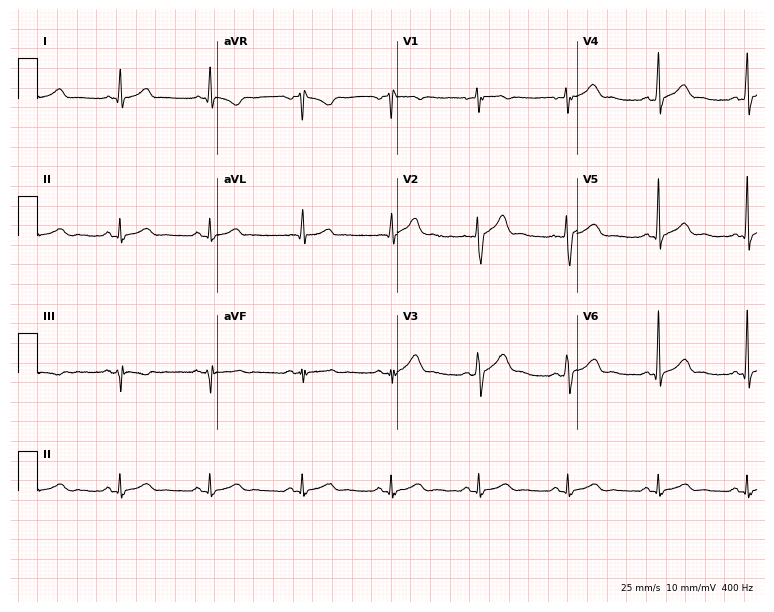
ECG (7.3-second recording at 400 Hz) — a 35-year-old man. Labelled as a normal ECG.